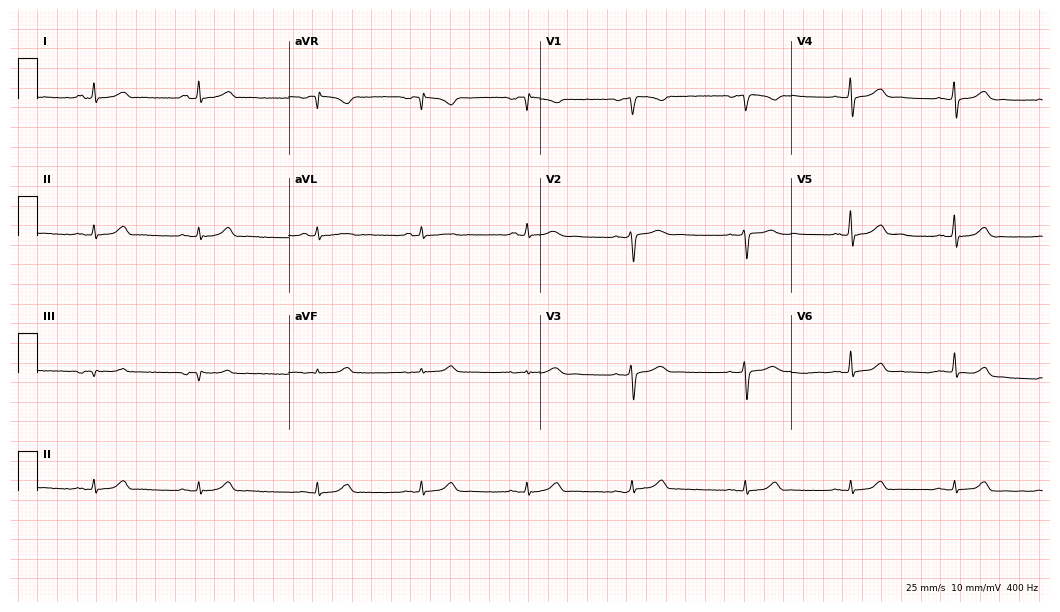
Electrocardiogram, a 34-year-old woman. Overall reading on record: normal ECG.